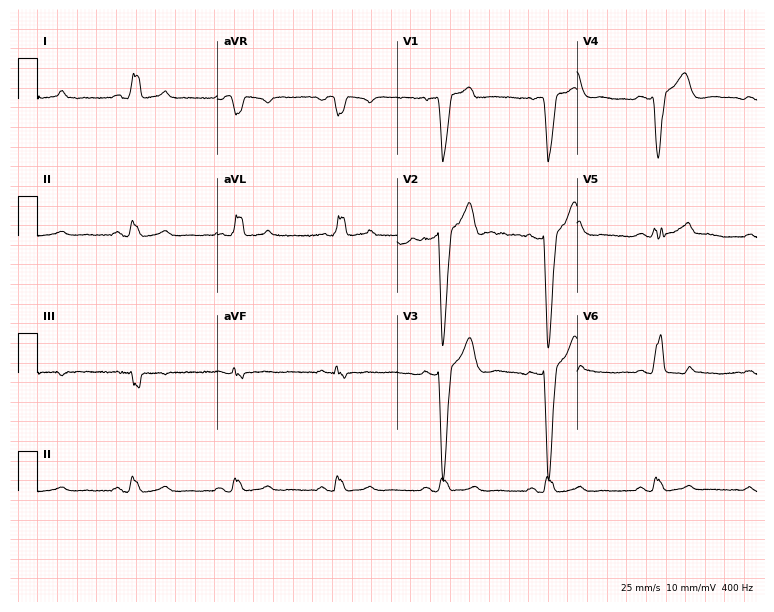
ECG — a man, 47 years old. Findings include left bundle branch block (LBBB).